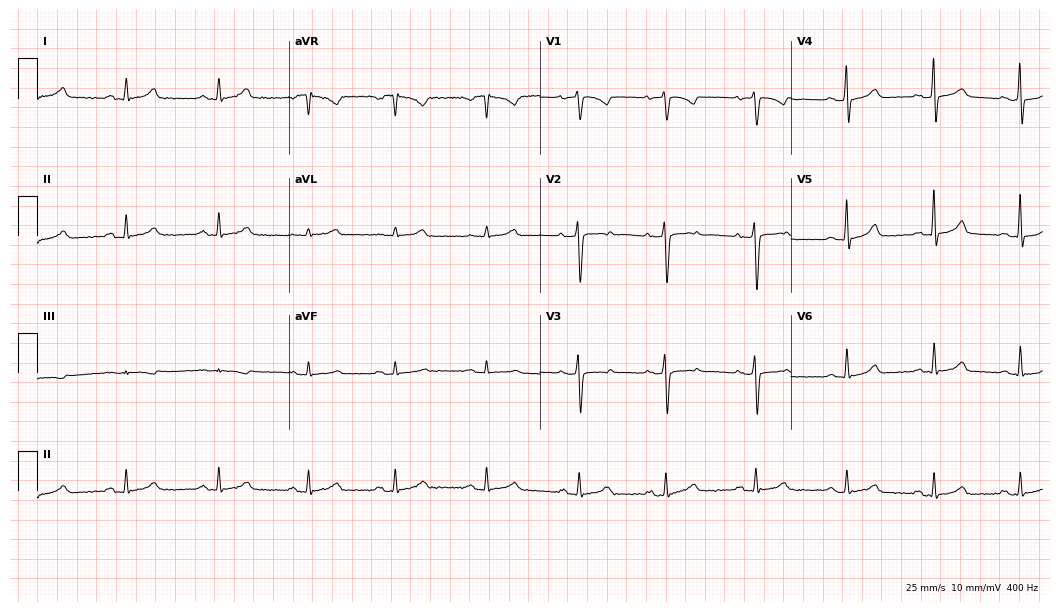
Standard 12-lead ECG recorded from a woman, 44 years old. Read as a normal ECG.